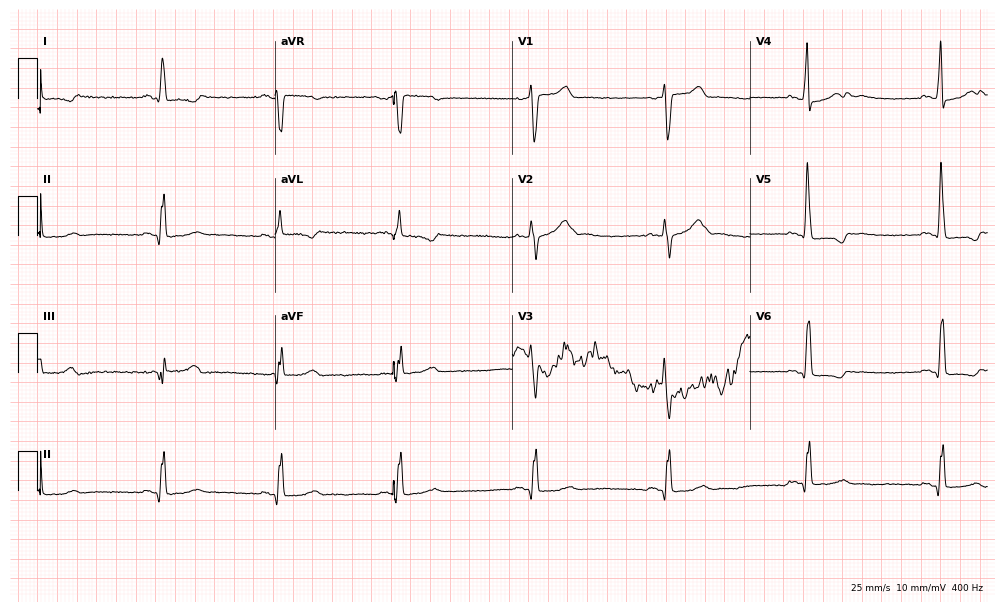
Standard 12-lead ECG recorded from a 49-year-old woman (9.7-second recording at 400 Hz). None of these six findings is recorded: first-degree AV block, right bundle branch block (RBBB), left bundle branch block (LBBB), sinus bradycardia, atrial fibrillation (AF), sinus tachycardia.